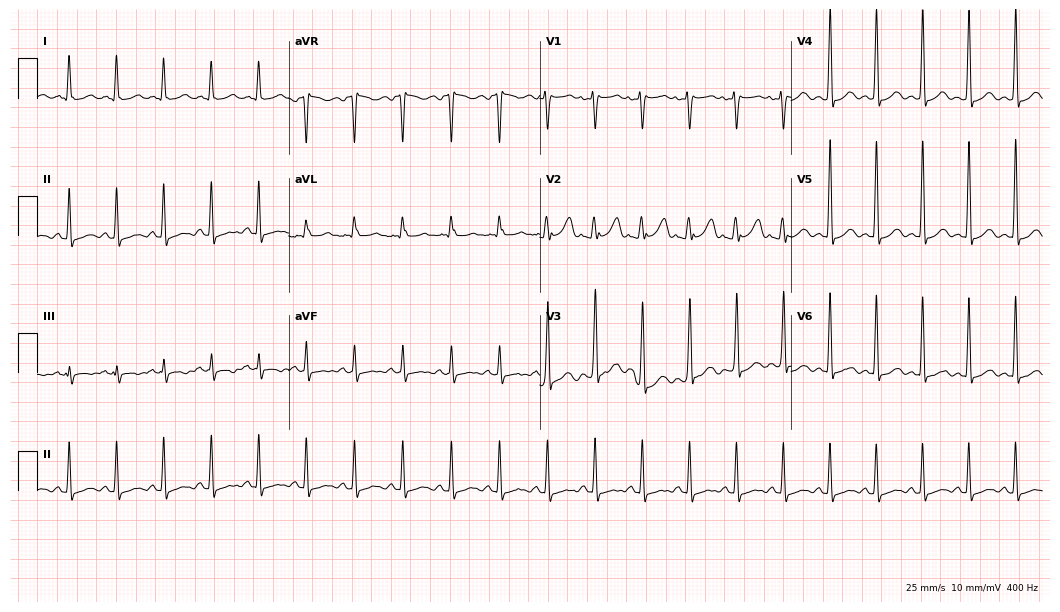
12-lead ECG from a 25-year-old woman. Findings include sinus tachycardia (a sinus rate of 100 beats per minute or more).